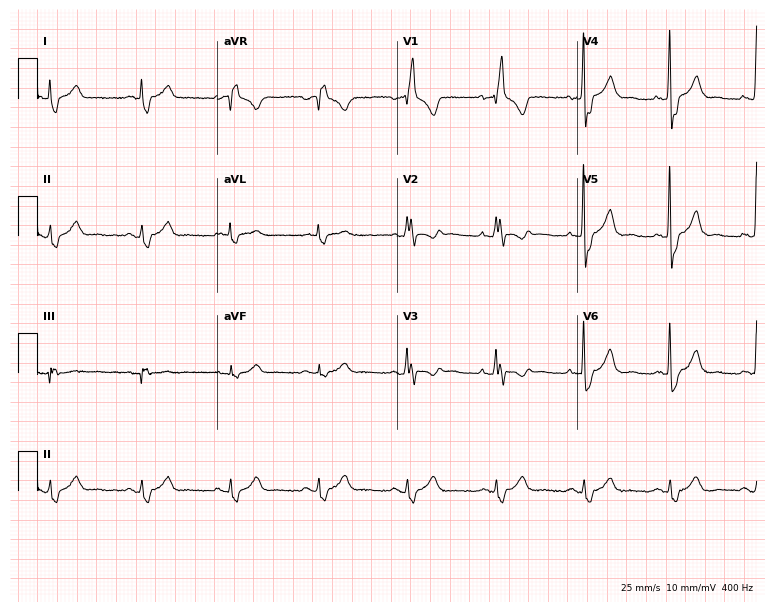
Electrocardiogram (7.3-second recording at 400 Hz), a male patient, 57 years old. Interpretation includes right bundle branch block (RBBB).